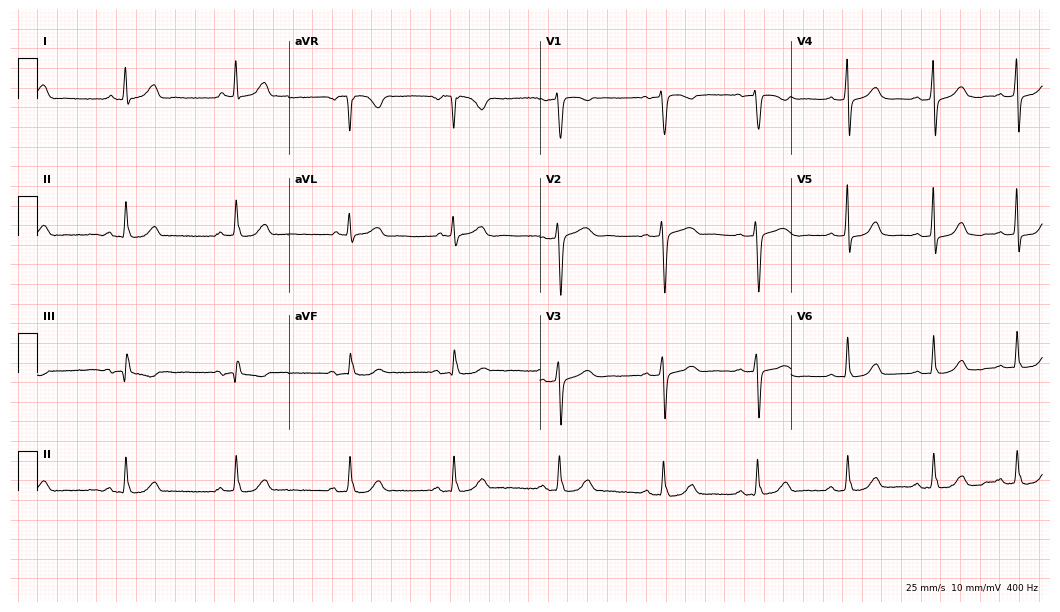
12-lead ECG from a 55-year-old female patient. No first-degree AV block, right bundle branch block, left bundle branch block, sinus bradycardia, atrial fibrillation or sinus tachycardia recorded for this tracing.